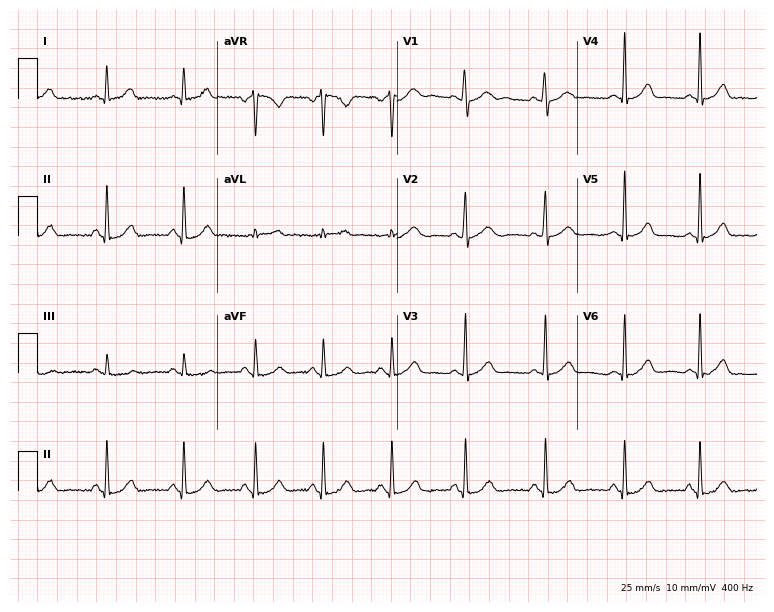
ECG — a woman, 38 years old. Labelled as a normal ECG.